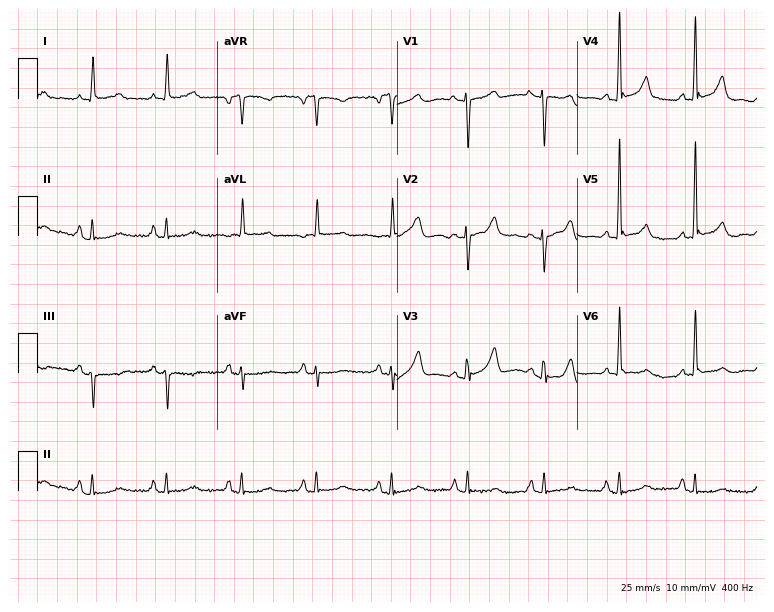
12-lead ECG from a female, 77 years old. Screened for six findings — first-degree AV block, right bundle branch block (RBBB), left bundle branch block (LBBB), sinus bradycardia, atrial fibrillation (AF), sinus tachycardia — none is recorded. Only these six findings were labelled.